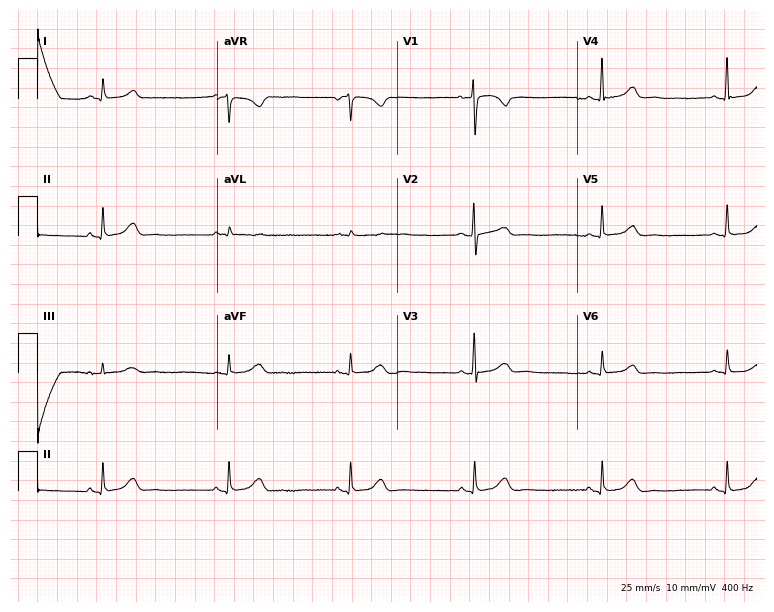
Standard 12-lead ECG recorded from a female, 85 years old. The tracing shows sinus bradycardia (a sinus rate of 50 beats per minute or less).